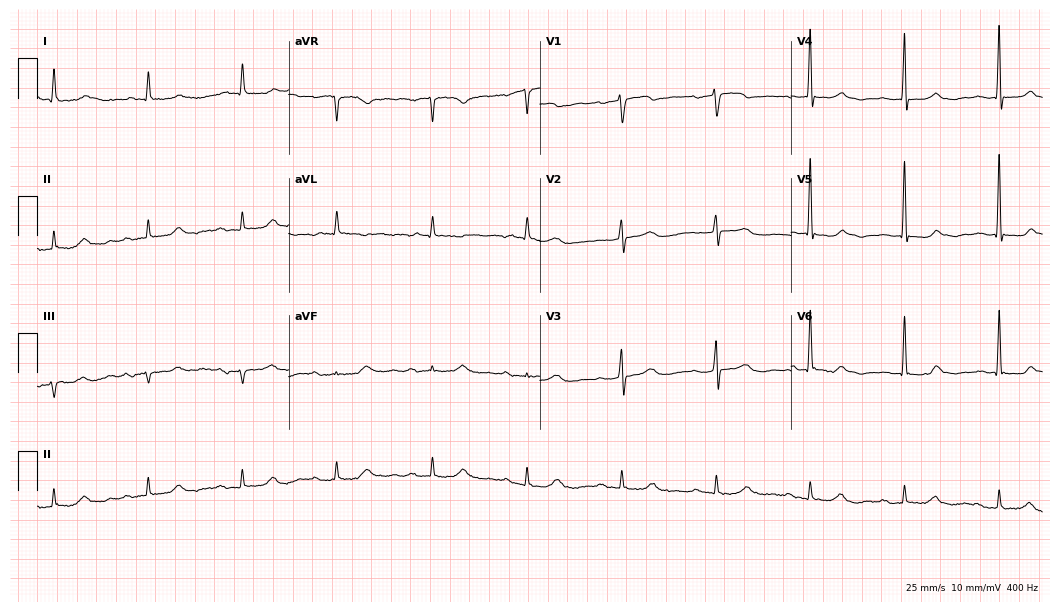
ECG — a woman, 84 years old. Findings include first-degree AV block.